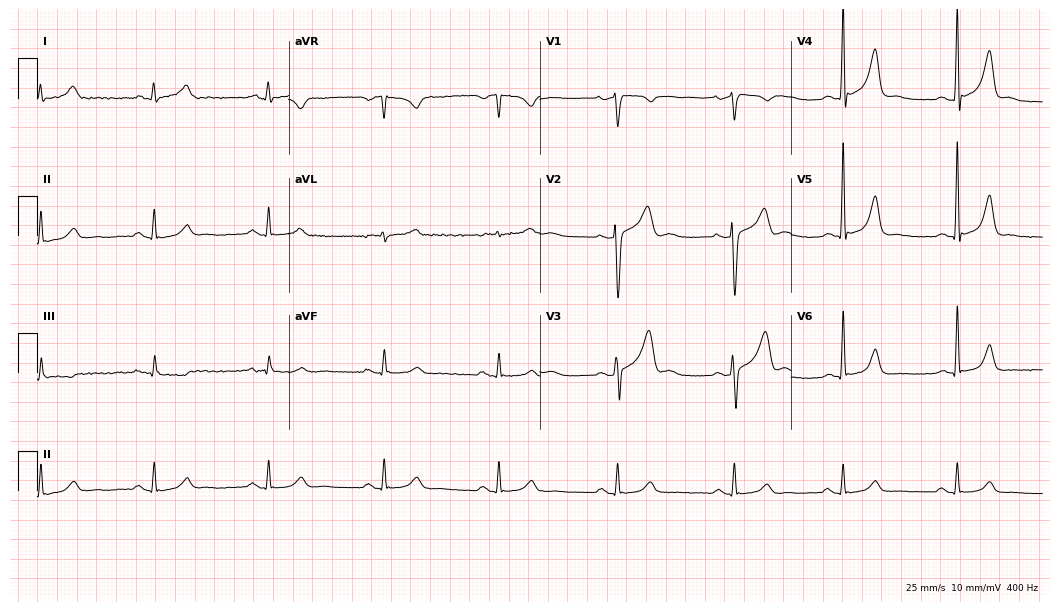
ECG — a male patient, 47 years old. Screened for six findings — first-degree AV block, right bundle branch block, left bundle branch block, sinus bradycardia, atrial fibrillation, sinus tachycardia — none is recorded.